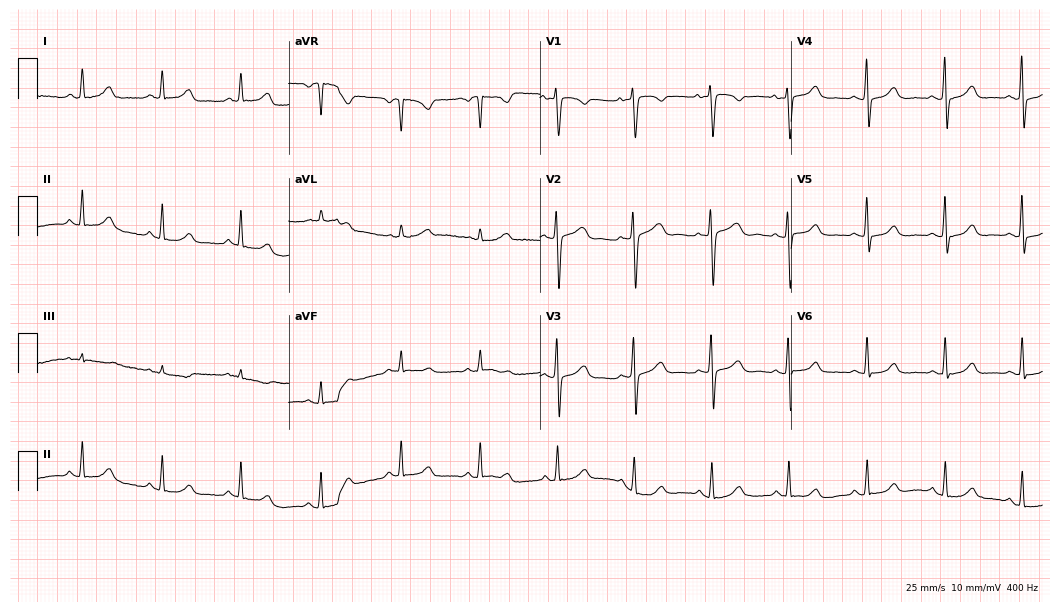
Electrocardiogram (10.2-second recording at 400 Hz), a woman, 41 years old. Overall reading on record: normal ECG.